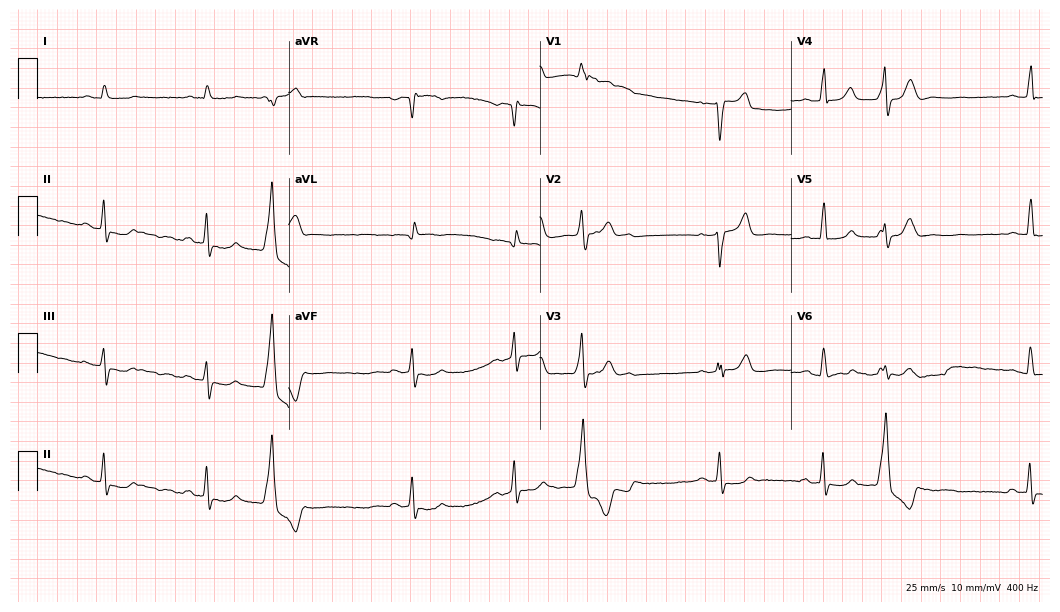
Electrocardiogram, a 58-year-old male. Of the six screened findings (first-degree AV block, right bundle branch block (RBBB), left bundle branch block (LBBB), sinus bradycardia, atrial fibrillation (AF), sinus tachycardia), none is recorded.